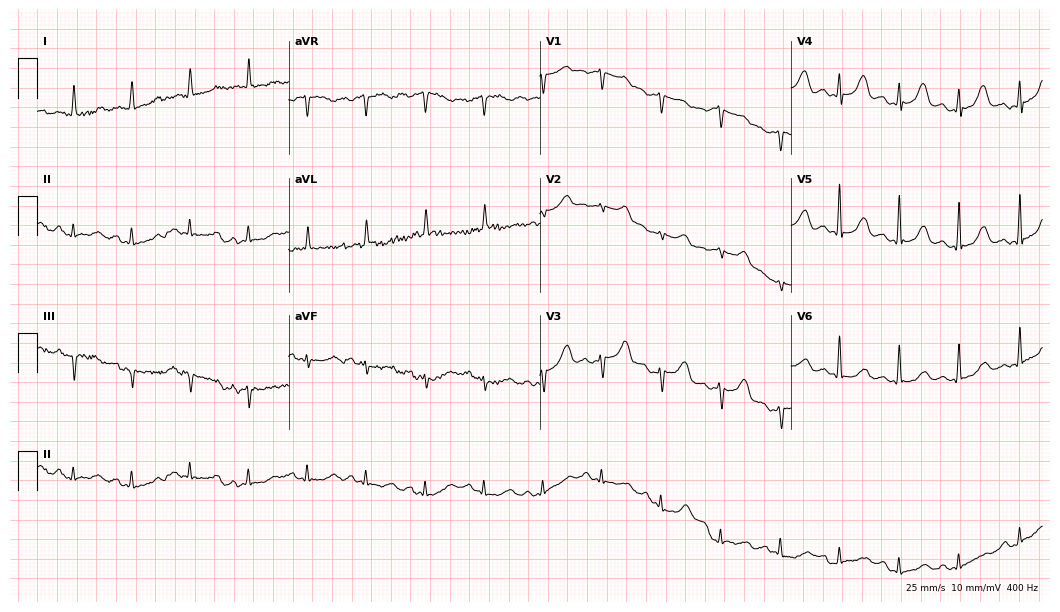
Standard 12-lead ECG recorded from a 75-year-old female (10.2-second recording at 400 Hz). None of these six findings is recorded: first-degree AV block, right bundle branch block, left bundle branch block, sinus bradycardia, atrial fibrillation, sinus tachycardia.